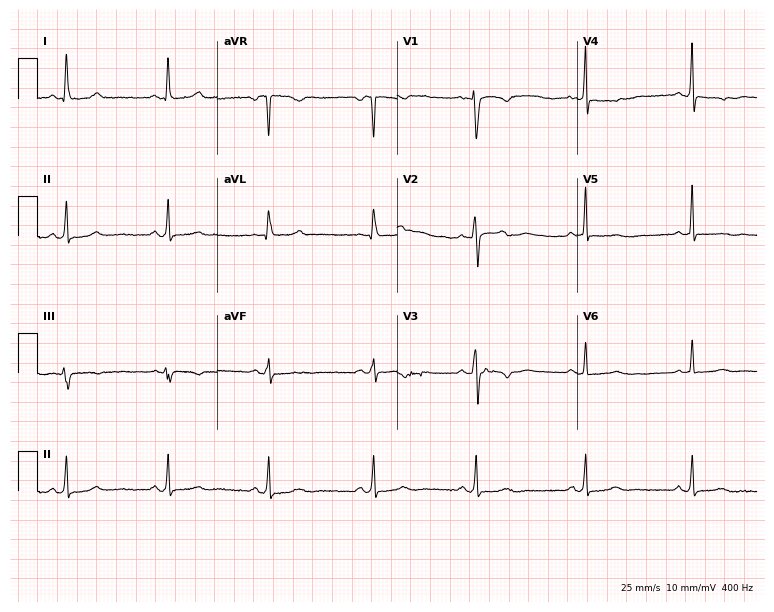
ECG — a female patient, 55 years old. Screened for six findings — first-degree AV block, right bundle branch block, left bundle branch block, sinus bradycardia, atrial fibrillation, sinus tachycardia — none is recorded.